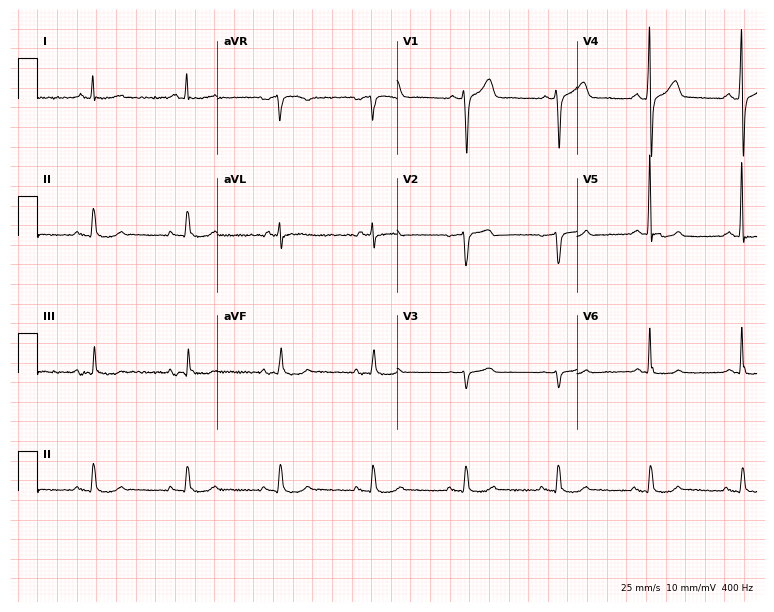
Standard 12-lead ECG recorded from a 75-year-old male patient. Read as a normal ECG.